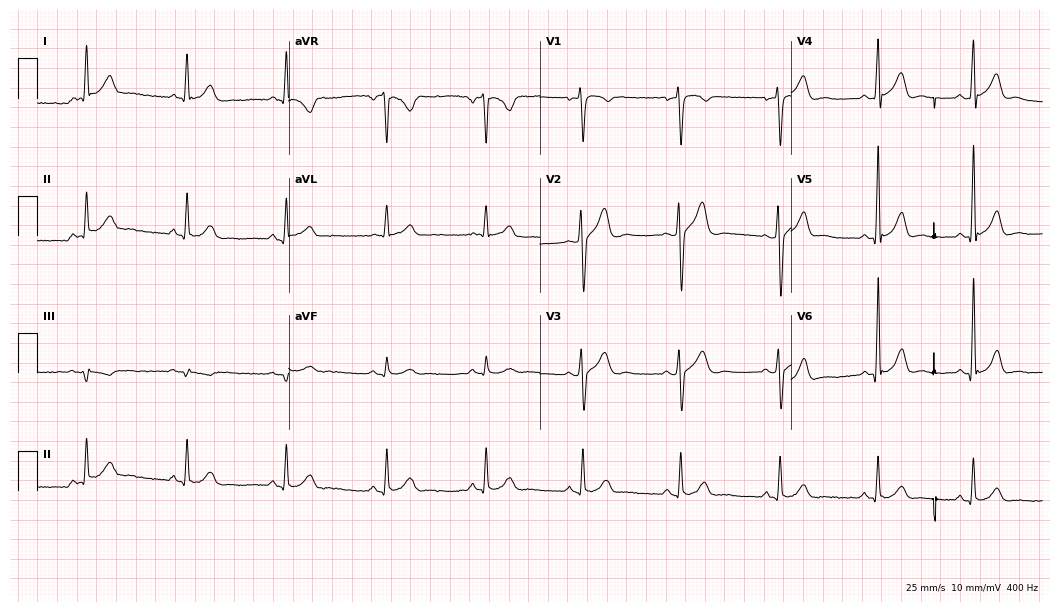
12-lead ECG (10.2-second recording at 400 Hz) from a 47-year-old man. Labelled as a normal ECG.